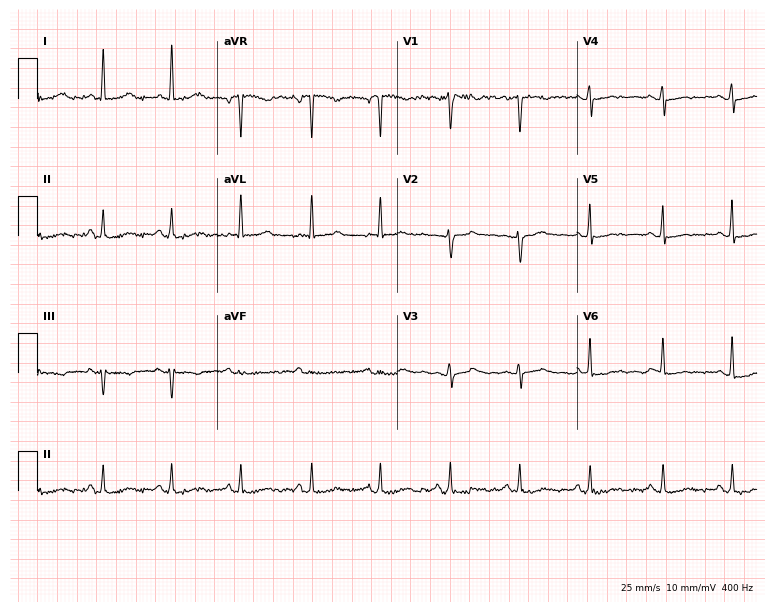
12-lead ECG from a 51-year-old female. No first-degree AV block, right bundle branch block, left bundle branch block, sinus bradycardia, atrial fibrillation or sinus tachycardia recorded for this tracing.